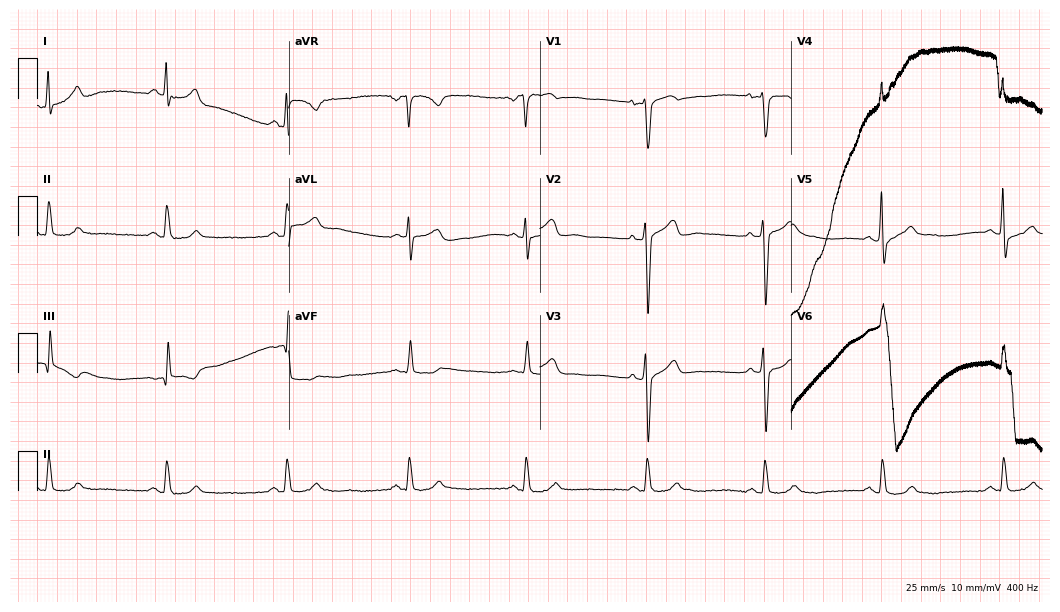
Standard 12-lead ECG recorded from a male, 36 years old (10.2-second recording at 400 Hz). None of these six findings is recorded: first-degree AV block, right bundle branch block, left bundle branch block, sinus bradycardia, atrial fibrillation, sinus tachycardia.